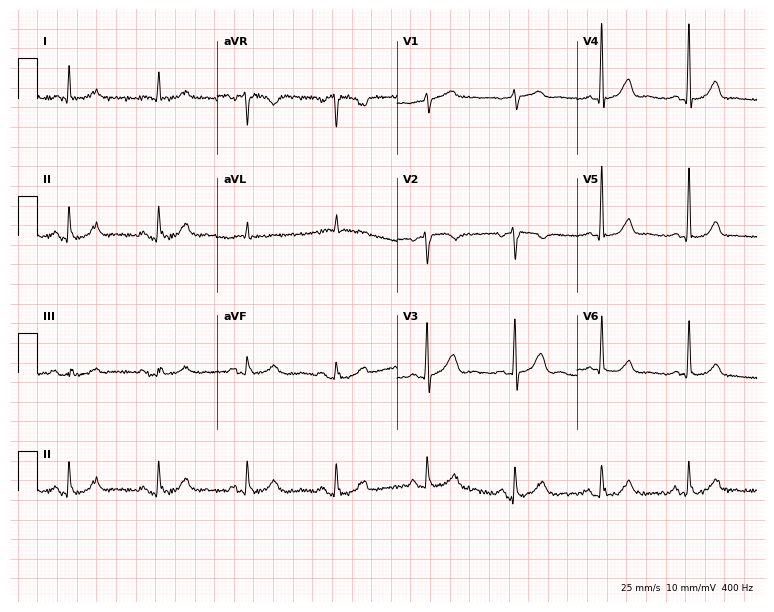
Electrocardiogram (7.3-second recording at 400 Hz), a male patient, 83 years old. Overall reading on record: normal ECG.